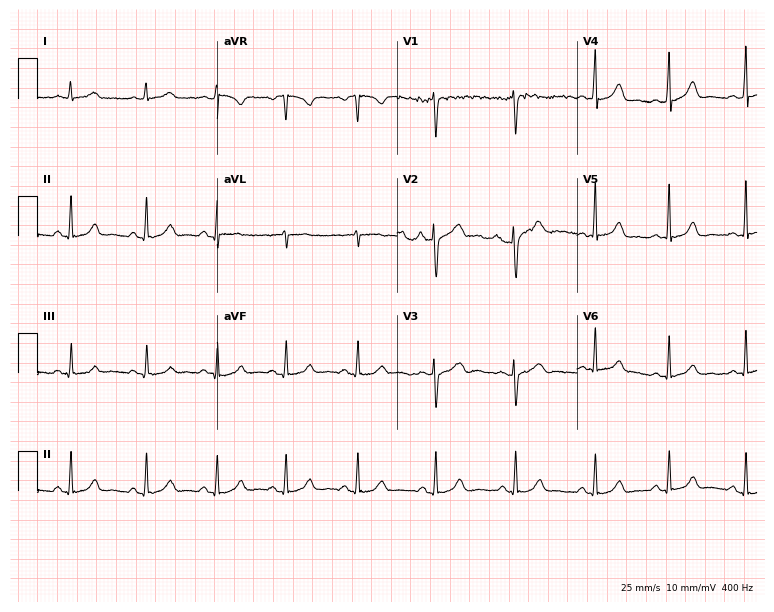
Standard 12-lead ECG recorded from a 35-year-old female (7.3-second recording at 400 Hz). Read as a normal ECG.